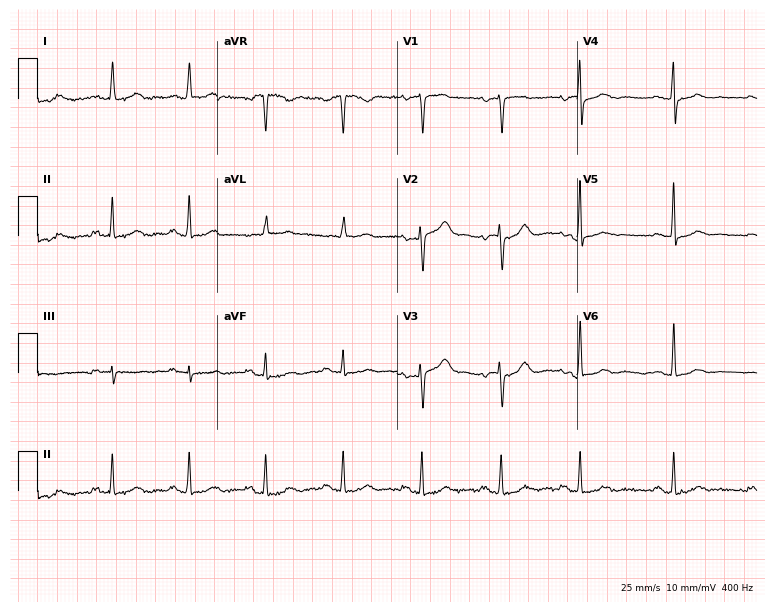
Resting 12-lead electrocardiogram (7.3-second recording at 400 Hz). Patient: a 69-year-old woman. Read as a normal ECG.